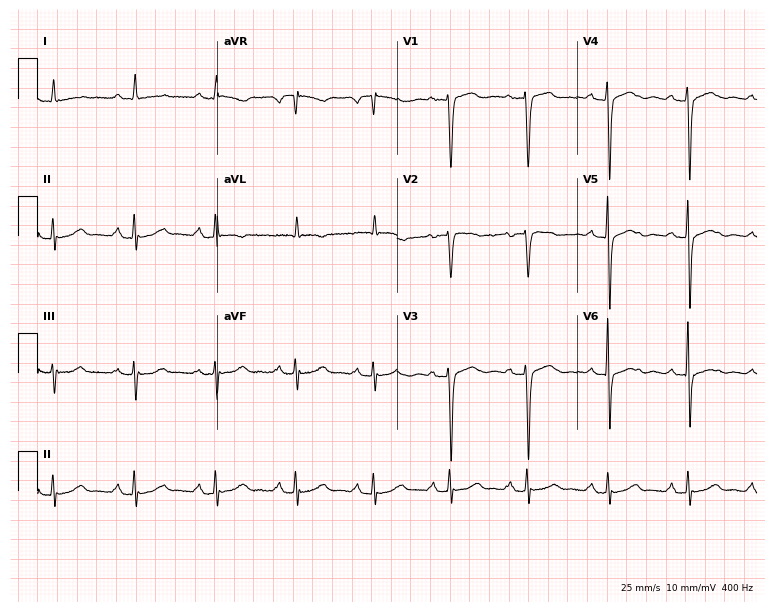
12-lead ECG (7.3-second recording at 400 Hz) from a female, 73 years old. Screened for six findings — first-degree AV block, right bundle branch block, left bundle branch block, sinus bradycardia, atrial fibrillation, sinus tachycardia — none is recorded. Other findings, if any, are not listed.